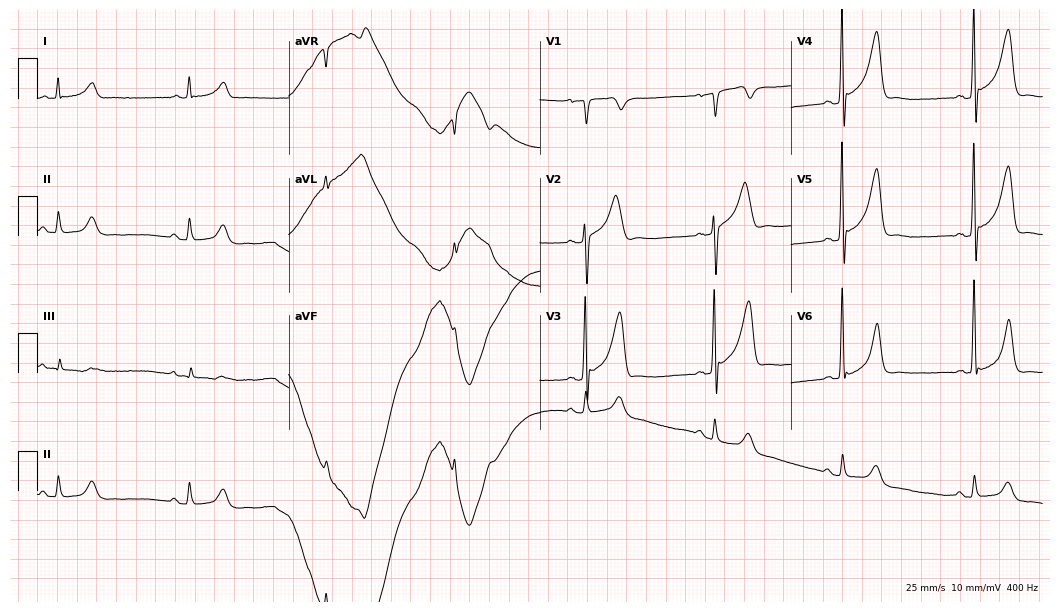
Electrocardiogram, a 67-year-old male. Interpretation includes sinus bradycardia (a sinus rate of 50 beats per minute or less).